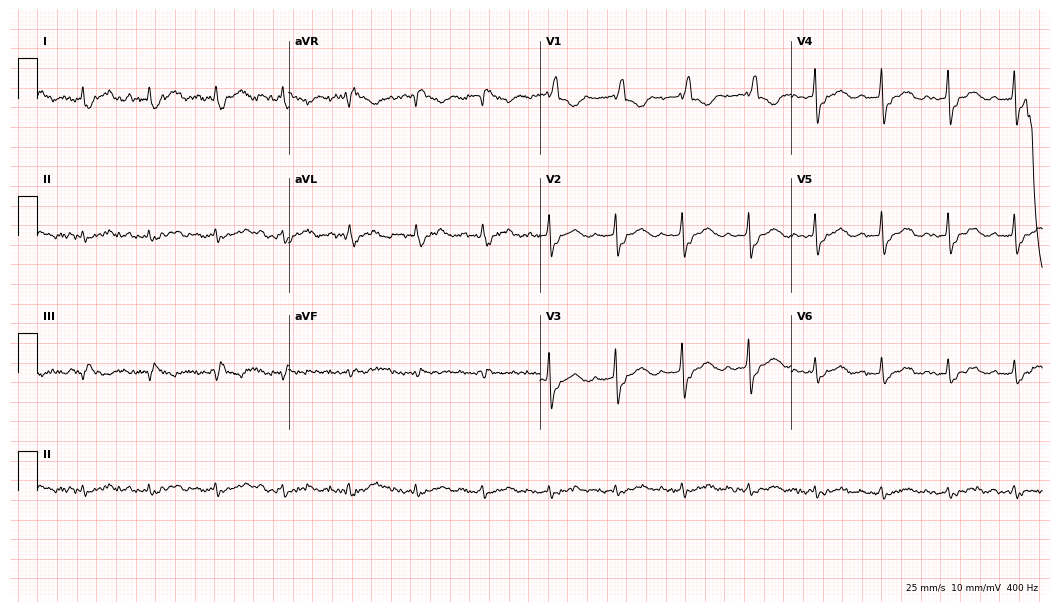
Electrocardiogram, a 68-year-old male. Interpretation includes first-degree AV block, right bundle branch block.